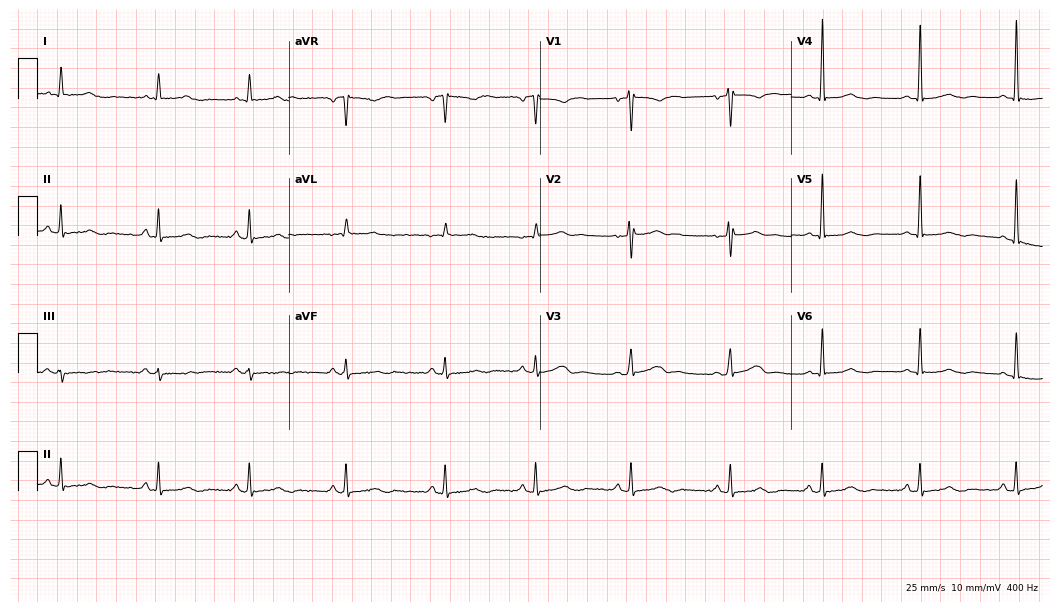
12-lead ECG from a 38-year-old woman. No first-degree AV block, right bundle branch block (RBBB), left bundle branch block (LBBB), sinus bradycardia, atrial fibrillation (AF) or sinus tachycardia recorded for this tracing.